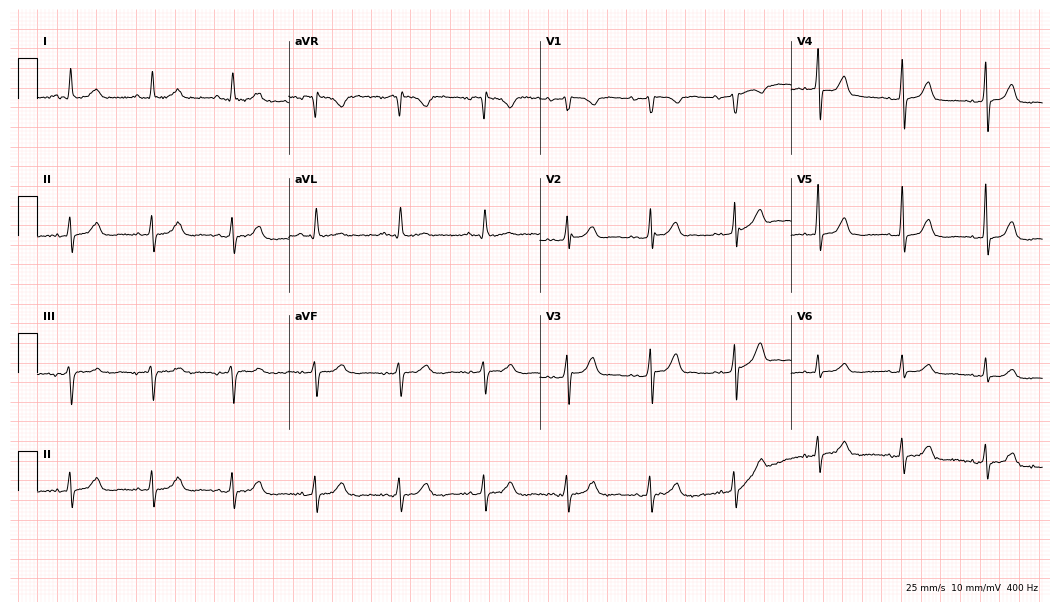
12-lead ECG from an 81-year-old female patient (10.2-second recording at 400 Hz). Recorded interpretation: within normal limits.